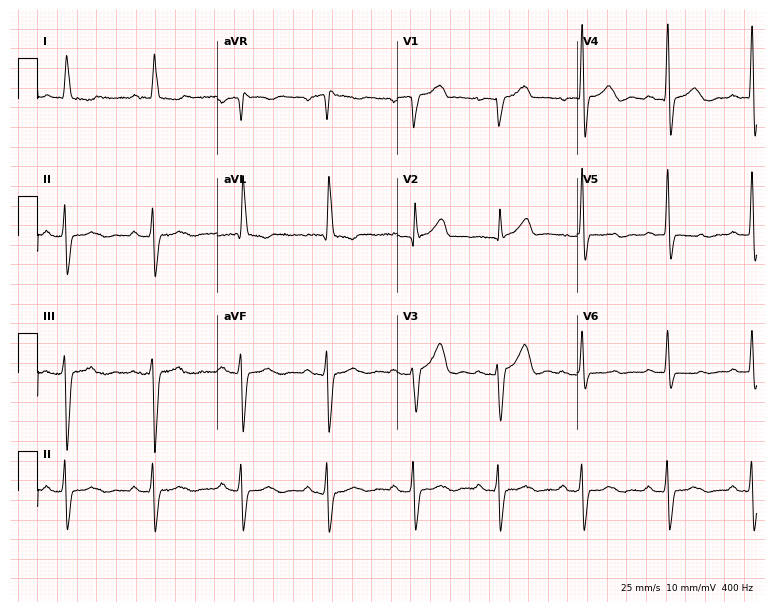
Standard 12-lead ECG recorded from an 84-year-old female. None of these six findings is recorded: first-degree AV block, right bundle branch block, left bundle branch block, sinus bradycardia, atrial fibrillation, sinus tachycardia. Findings outside these six are not listed.